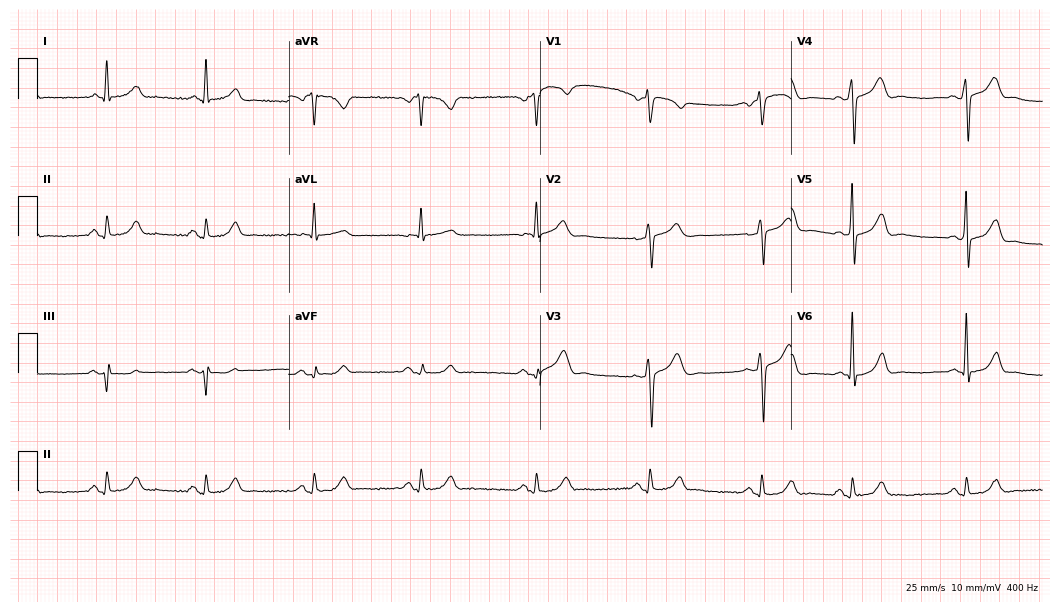
12-lead ECG from a male, 68 years old. Screened for six findings — first-degree AV block, right bundle branch block, left bundle branch block, sinus bradycardia, atrial fibrillation, sinus tachycardia — none is recorded.